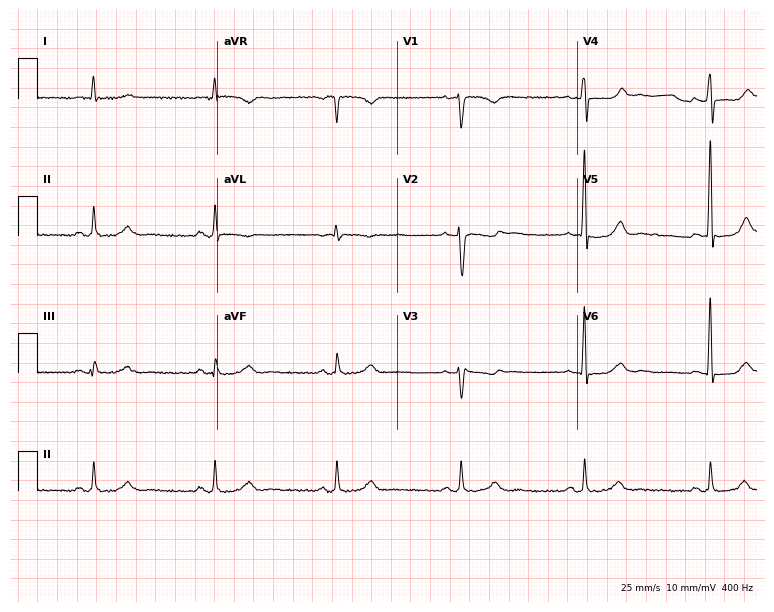
Electrocardiogram (7.3-second recording at 400 Hz), a male, 62 years old. Of the six screened findings (first-degree AV block, right bundle branch block, left bundle branch block, sinus bradycardia, atrial fibrillation, sinus tachycardia), none is recorded. Other findings, if any, are not listed.